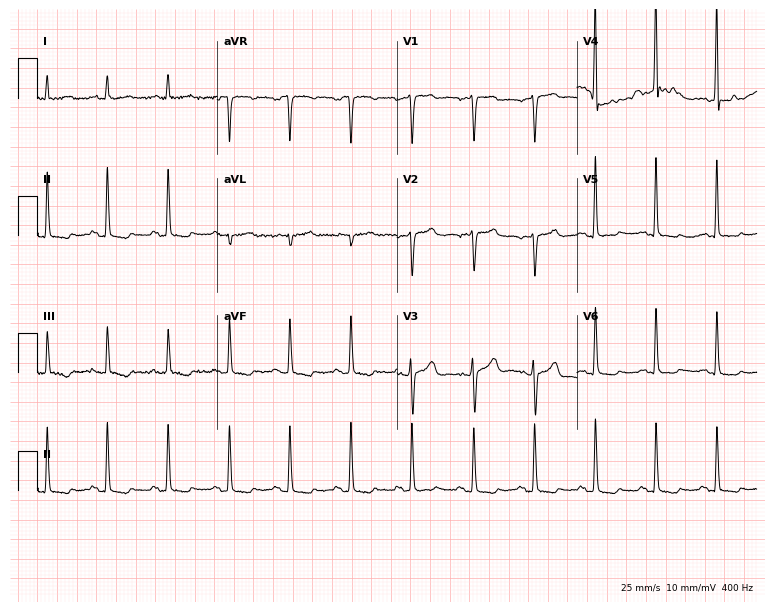
ECG (7.3-second recording at 400 Hz) — a 30-year-old female. Screened for six findings — first-degree AV block, right bundle branch block, left bundle branch block, sinus bradycardia, atrial fibrillation, sinus tachycardia — none is recorded. Only these six findings were labelled.